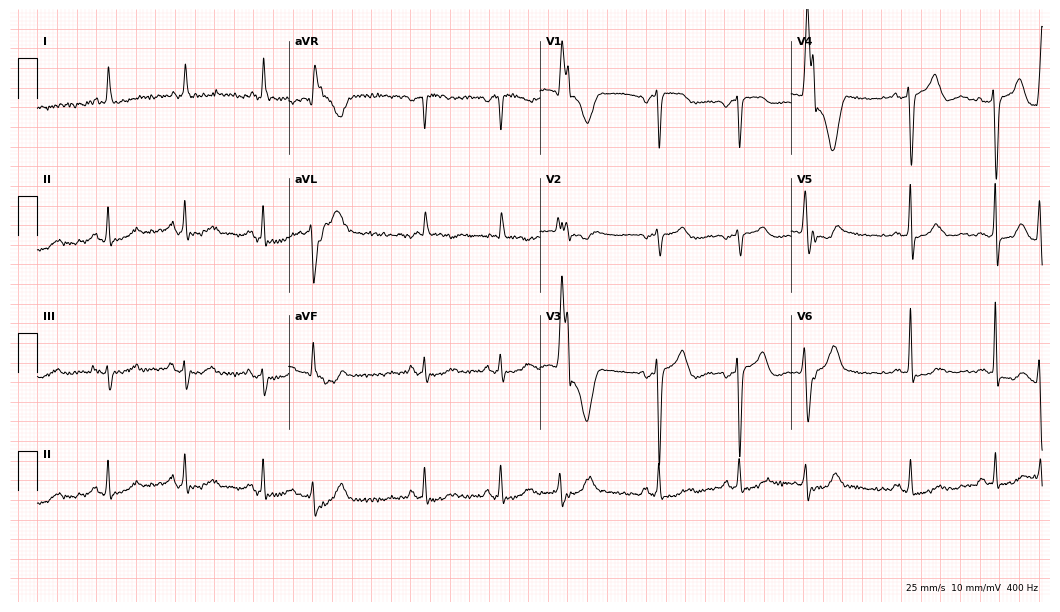
Standard 12-lead ECG recorded from an 84-year-old woman. None of these six findings is recorded: first-degree AV block, right bundle branch block (RBBB), left bundle branch block (LBBB), sinus bradycardia, atrial fibrillation (AF), sinus tachycardia. Findings outside these six are not listed.